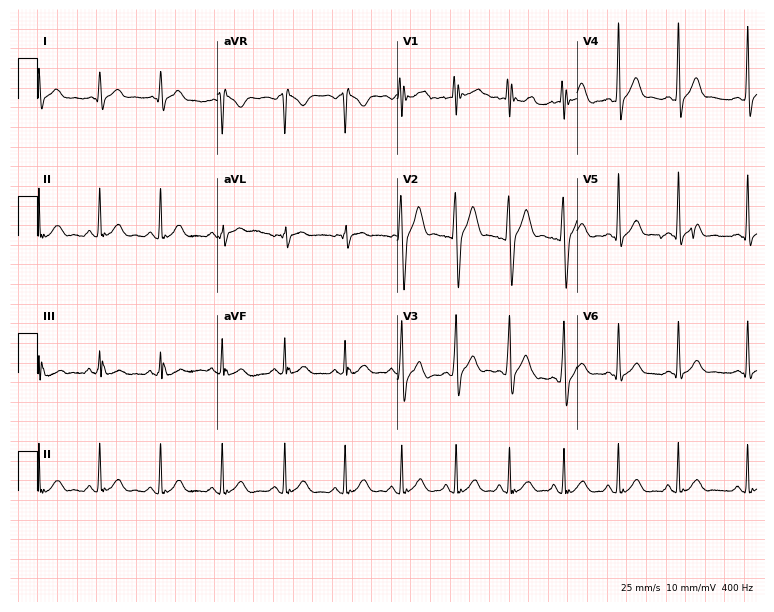
12-lead ECG from a 25-year-old male patient. Screened for six findings — first-degree AV block, right bundle branch block, left bundle branch block, sinus bradycardia, atrial fibrillation, sinus tachycardia — none is recorded.